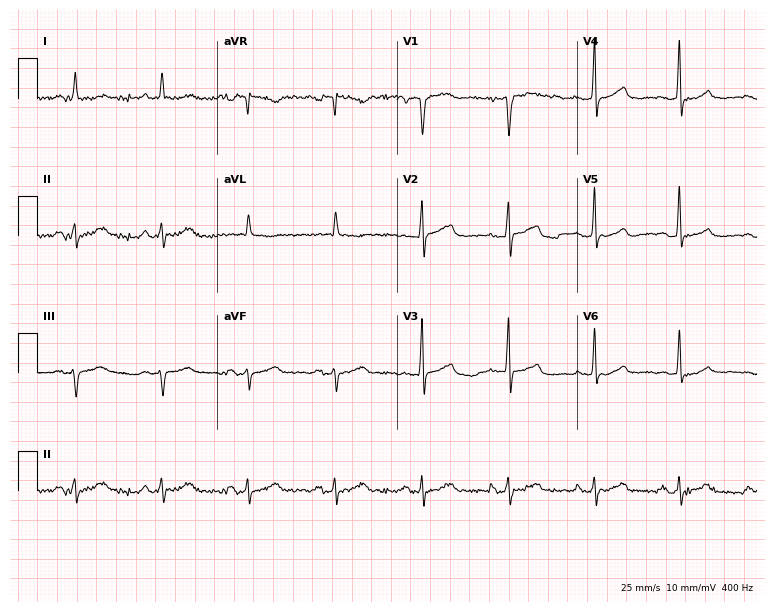
12-lead ECG (7.3-second recording at 400 Hz) from a 48-year-old male. Screened for six findings — first-degree AV block, right bundle branch block, left bundle branch block, sinus bradycardia, atrial fibrillation, sinus tachycardia — none is recorded.